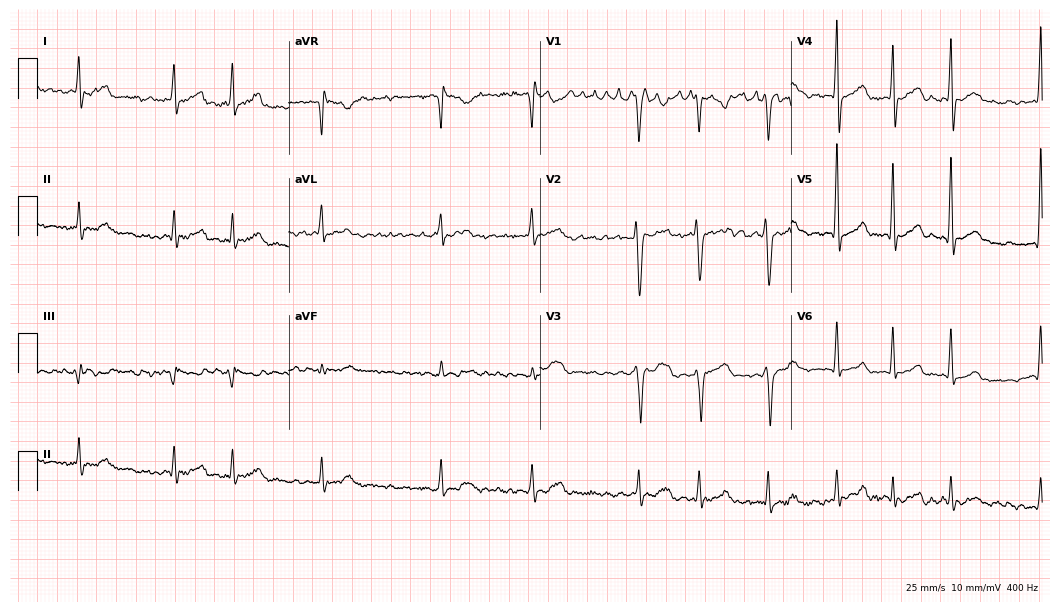
Standard 12-lead ECG recorded from a man, 32 years old (10.2-second recording at 400 Hz). The tracing shows atrial fibrillation.